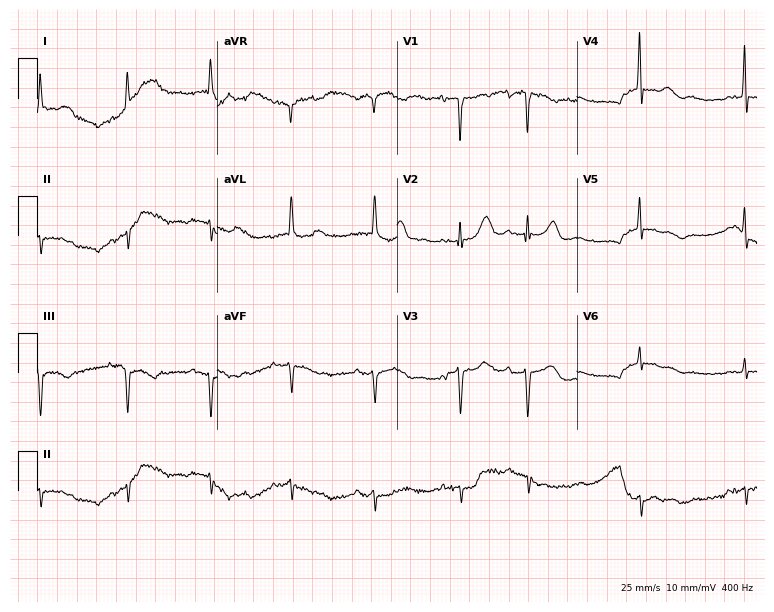
ECG (7.3-second recording at 400 Hz) — a female, 79 years old. Screened for six findings — first-degree AV block, right bundle branch block (RBBB), left bundle branch block (LBBB), sinus bradycardia, atrial fibrillation (AF), sinus tachycardia — none is recorded. Findings outside these six are not listed.